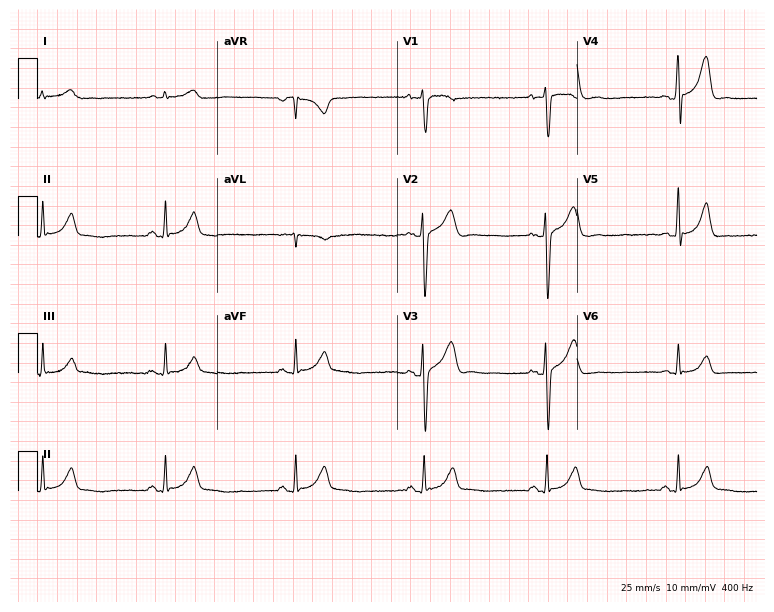
12-lead ECG from a male patient, 44 years old. Labelled as a normal ECG.